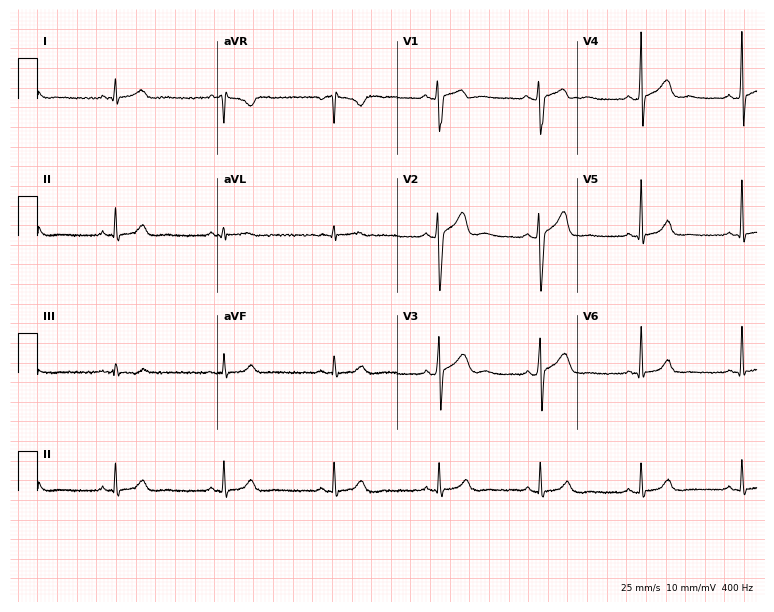
ECG — a 33-year-old male patient. Screened for six findings — first-degree AV block, right bundle branch block, left bundle branch block, sinus bradycardia, atrial fibrillation, sinus tachycardia — none is recorded.